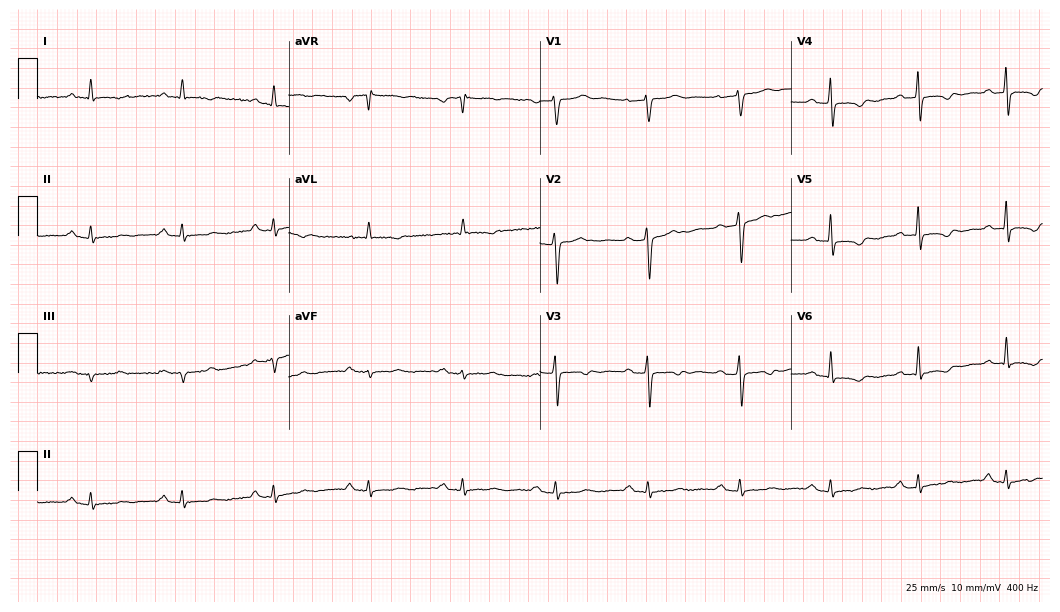
Resting 12-lead electrocardiogram. Patient: a 69-year-old woman. None of these six findings is recorded: first-degree AV block, right bundle branch block, left bundle branch block, sinus bradycardia, atrial fibrillation, sinus tachycardia.